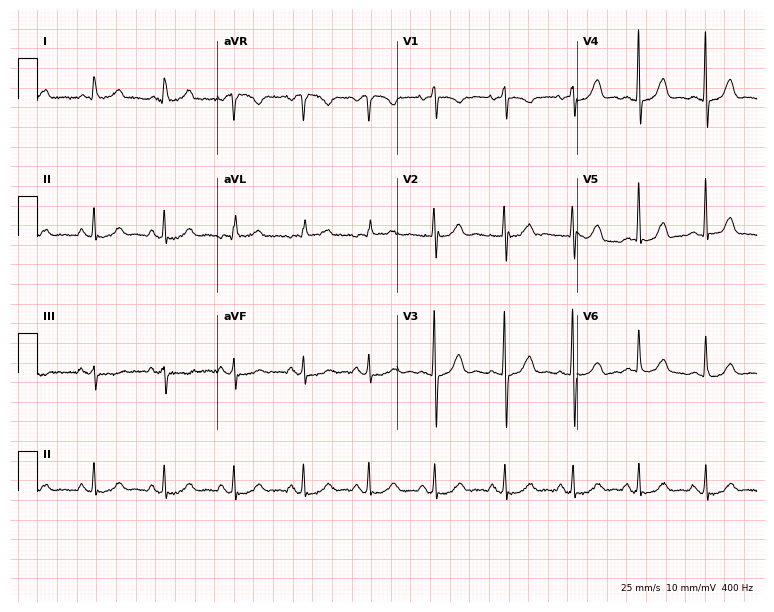
Electrocardiogram, a woman, 70 years old. Overall reading on record: normal ECG.